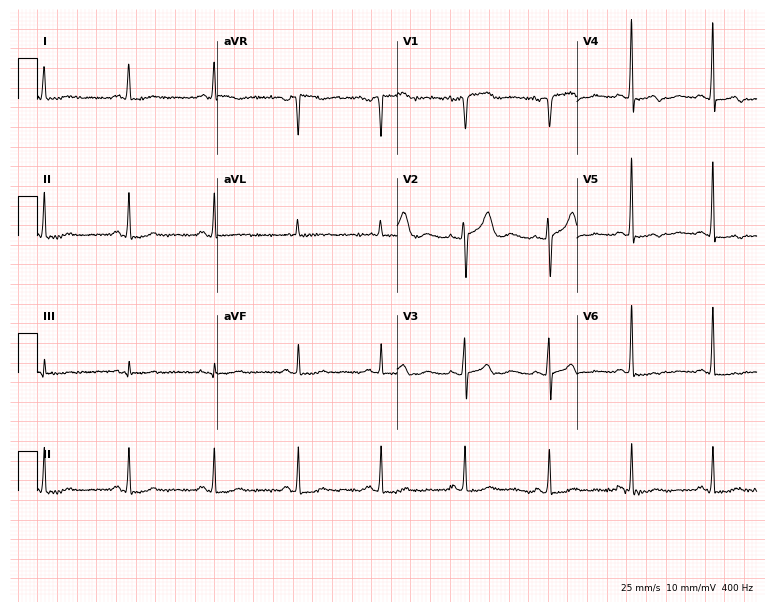
12-lead ECG from a 73-year-old female patient (7.3-second recording at 400 Hz). Recorded interpretation: within normal limits.